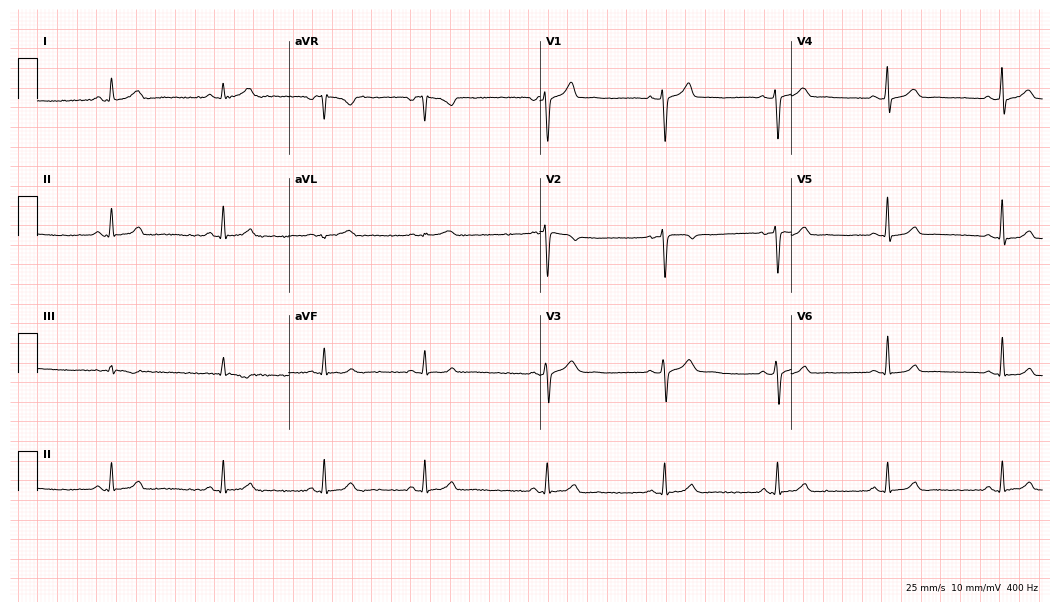
Resting 12-lead electrocardiogram. Patient: a woman, 53 years old. Read as a normal ECG.